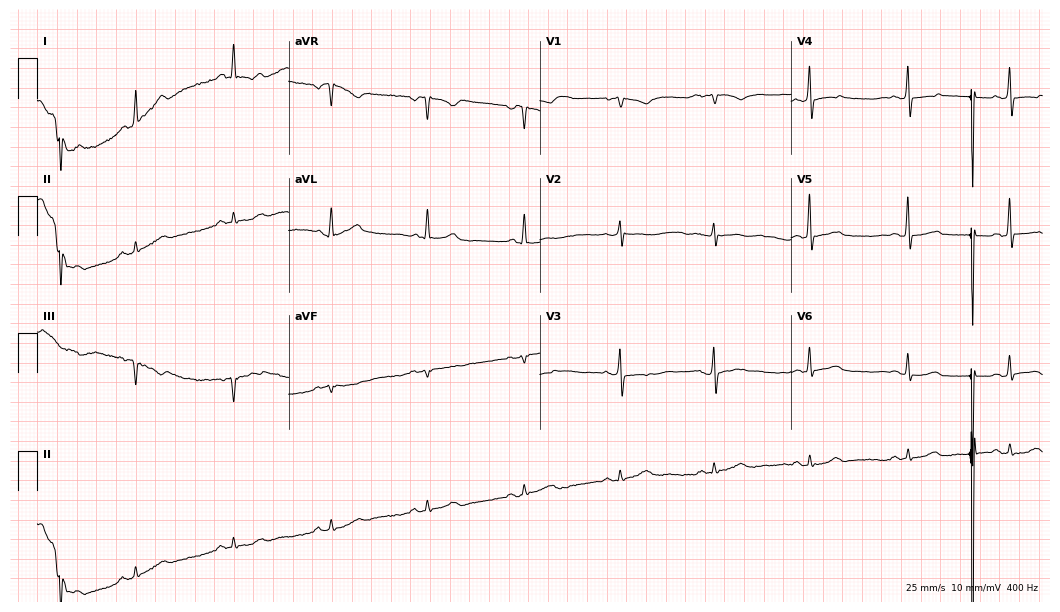
12-lead ECG from a female, 44 years old (10.2-second recording at 400 Hz). No first-degree AV block, right bundle branch block, left bundle branch block, sinus bradycardia, atrial fibrillation or sinus tachycardia recorded for this tracing.